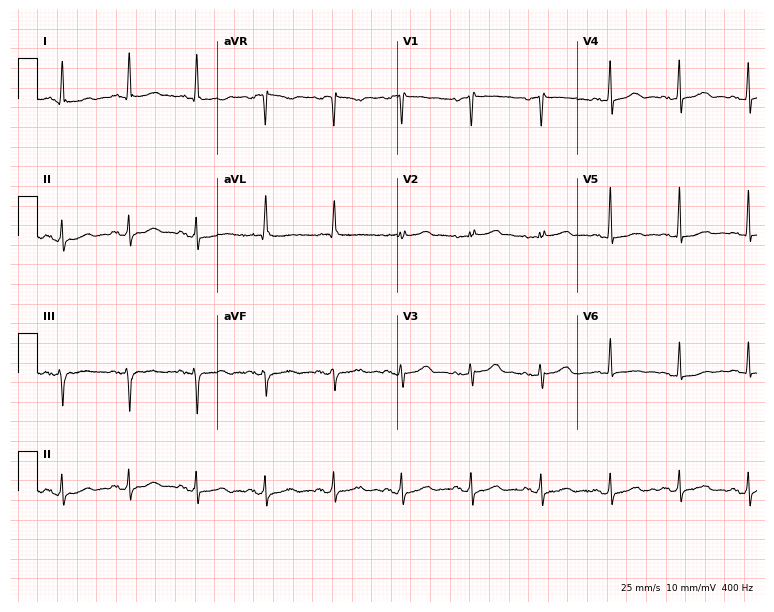
Electrocardiogram (7.3-second recording at 400 Hz), a woman, 79 years old. Of the six screened findings (first-degree AV block, right bundle branch block (RBBB), left bundle branch block (LBBB), sinus bradycardia, atrial fibrillation (AF), sinus tachycardia), none is recorded. Only these six findings were labelled.